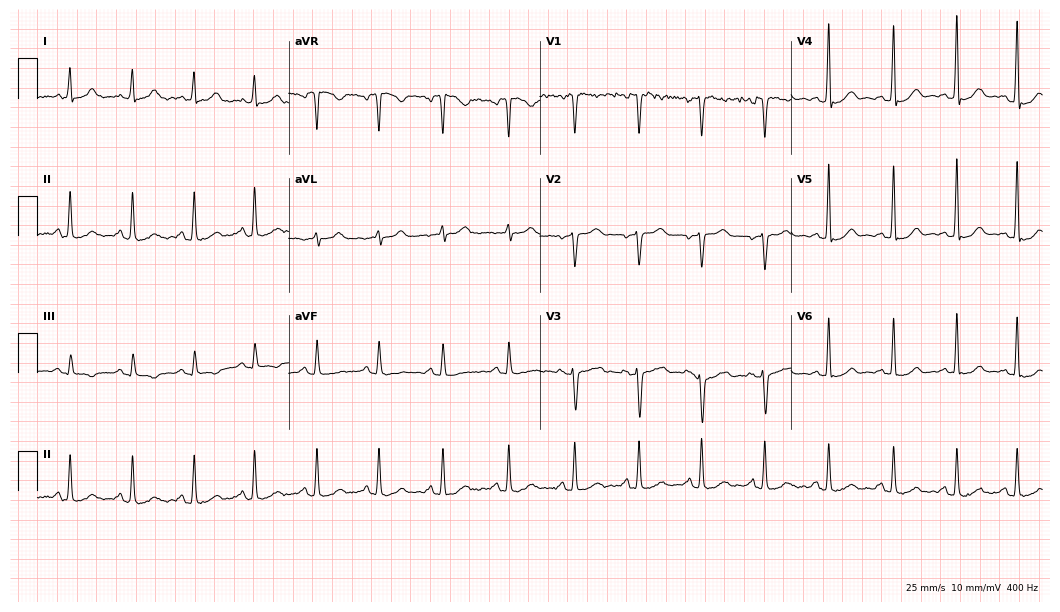
12-lead ECG (10.2-second recording at 400 Hz) from a man, 32 years old. Labelled as a normal ECG.